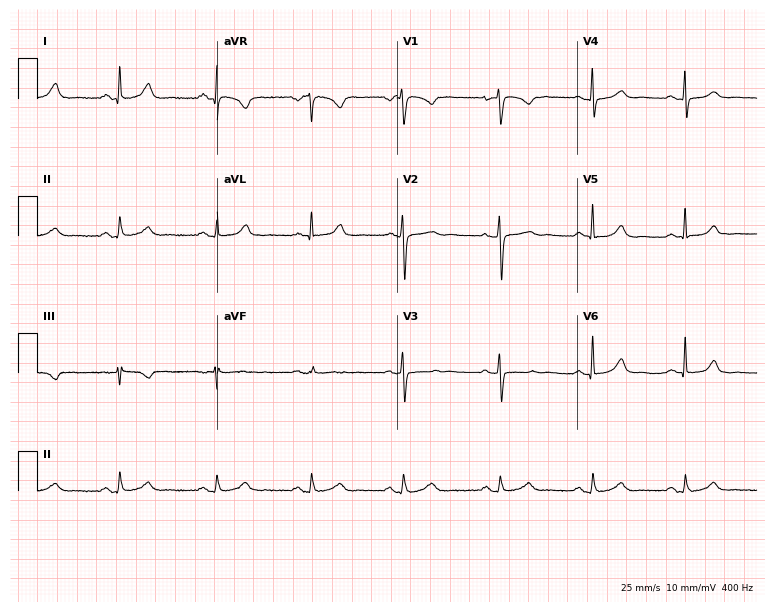
Resting 12-lead electrocardiogram (7.3-second recording at 400 Hz). Patient: a woman, 35 years old. Read as a normal ECG.